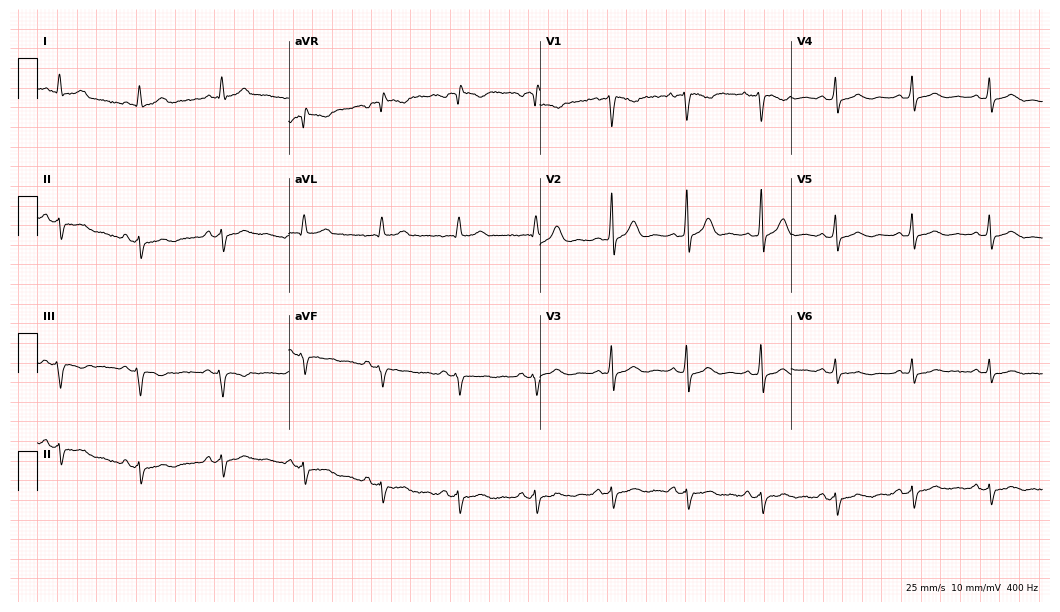
12-lead ECG (10.2-second recording at 400 Hz) from a man, 34 years old. Screened for six findings — first-degree AV block, right bundle branch block, left bundle branch block, sinus bradycardia, atrial fibrillation, sinus tachycardia — none is recorded. Other findings, if any, are not listed.